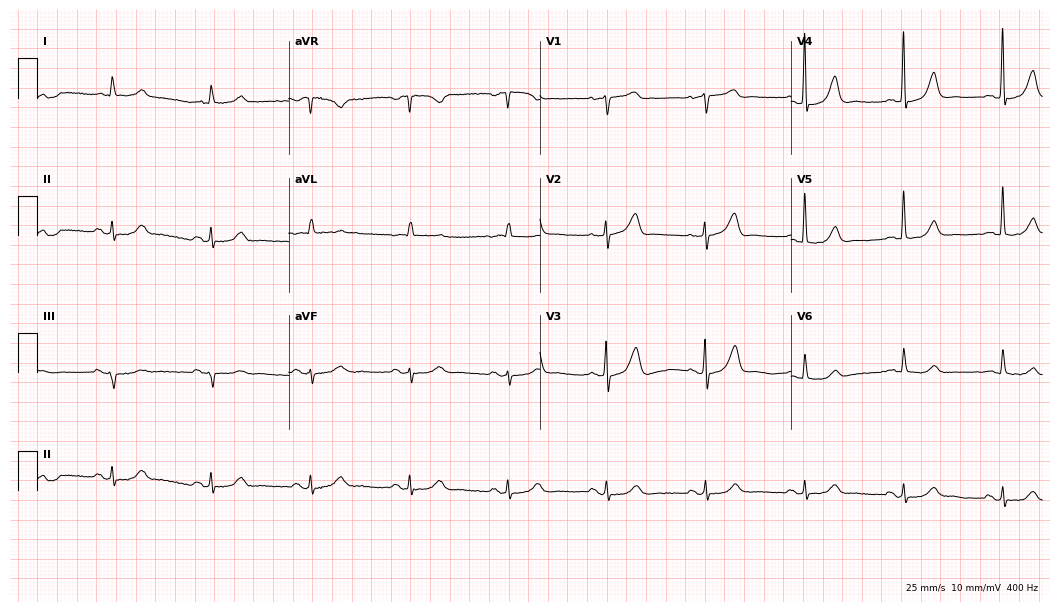
12-lead ECG (10.2-second recording at 400 Hz) from an 82-year-old female. Labelled as a normal ECG.